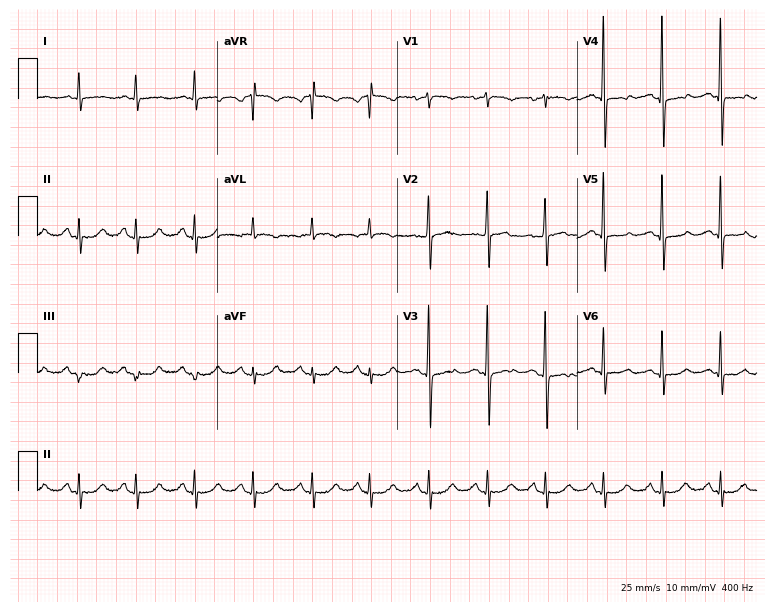
12-lead ECG from a woman, 67 years old. Screened for six findings — first-degree AV block, right bundle branch block, left bundle branch block, sinus bradycardia, atrial fibrillation, sinus tachycardia — none is recorded. Other findings, if any, are not listed.